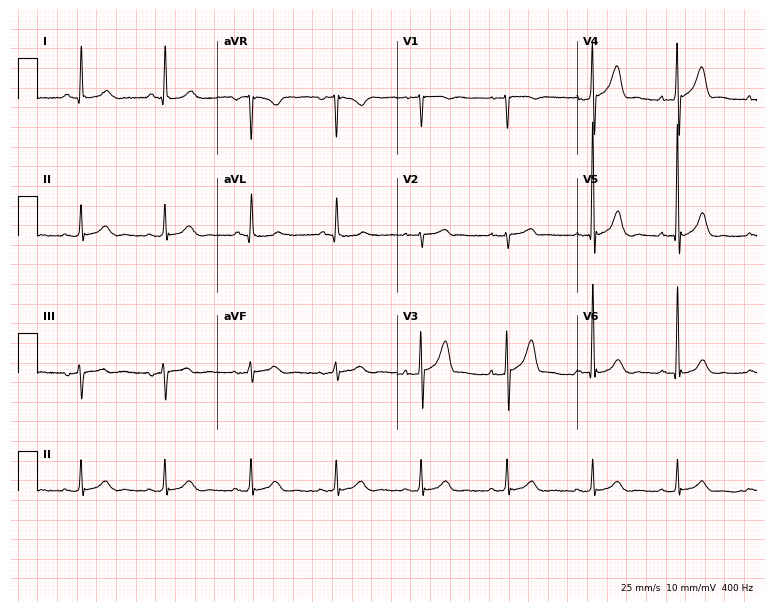
Electrocardiogram (7.3-second recording at 400 Hz), a 62-year-old male. Of the six screened findings (first-degree AV block, right bundle branch block (RBBB), left bundle branch block (LBBB), sinus bradycardia, atrial fibrillation (AF), sinus tachycardia), none is recorded. Findings outside these six are not listed.